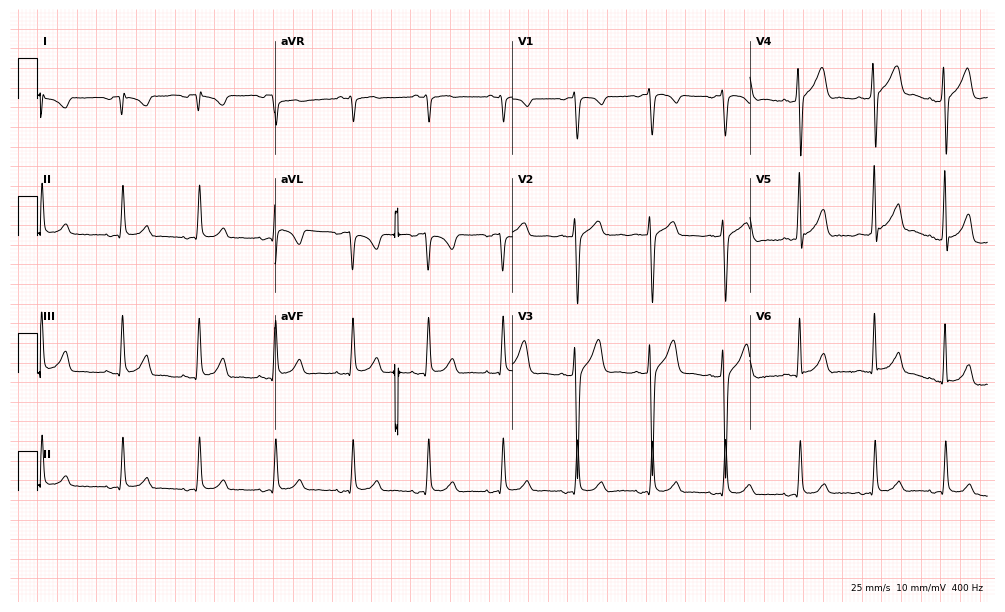
Electrocardiogram, a male, 21 years old. Of the six screened findings (first-degree AV block, right bundle branch block, left bundle branch block, sinus bradycardia, atrial fibrillation, sinus tachycardia), none is recorded.